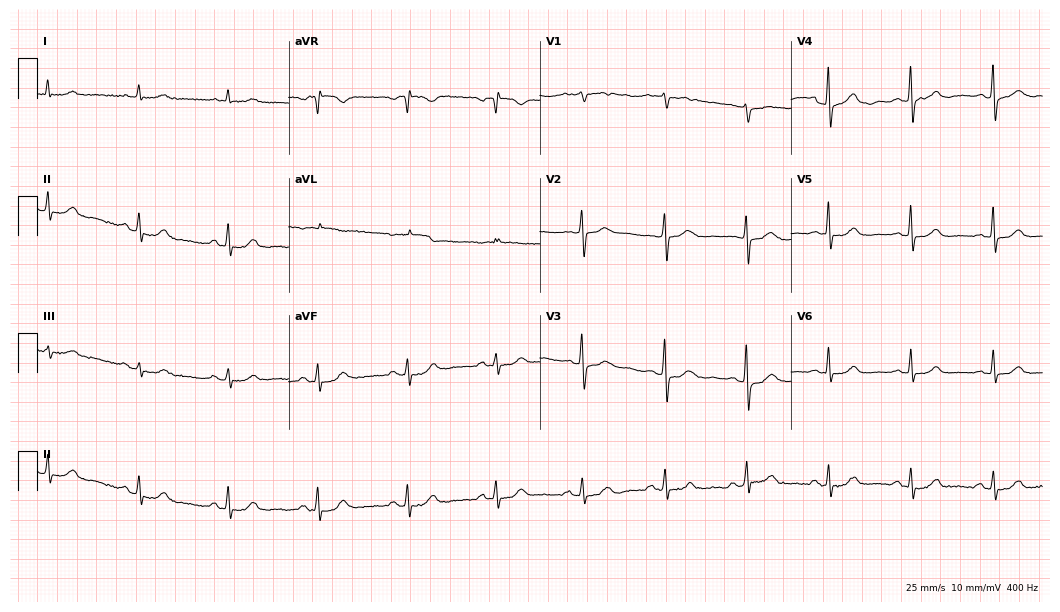
12-lead ECG from a 63-year-old female. Labelled as a normal ECG.